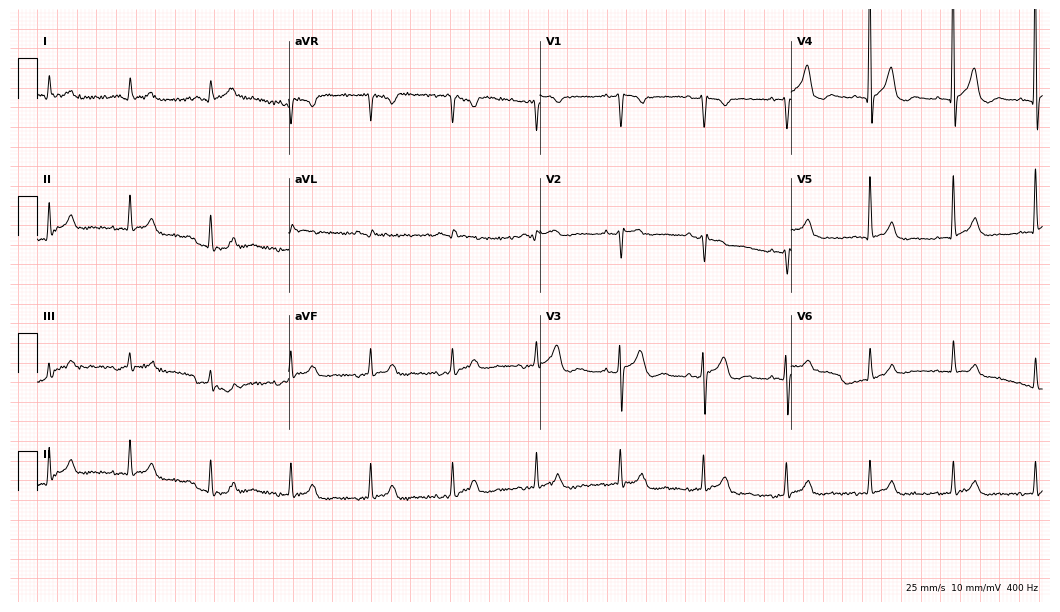
ECG — an 80-year-old man. Labelled as a normal ECG.